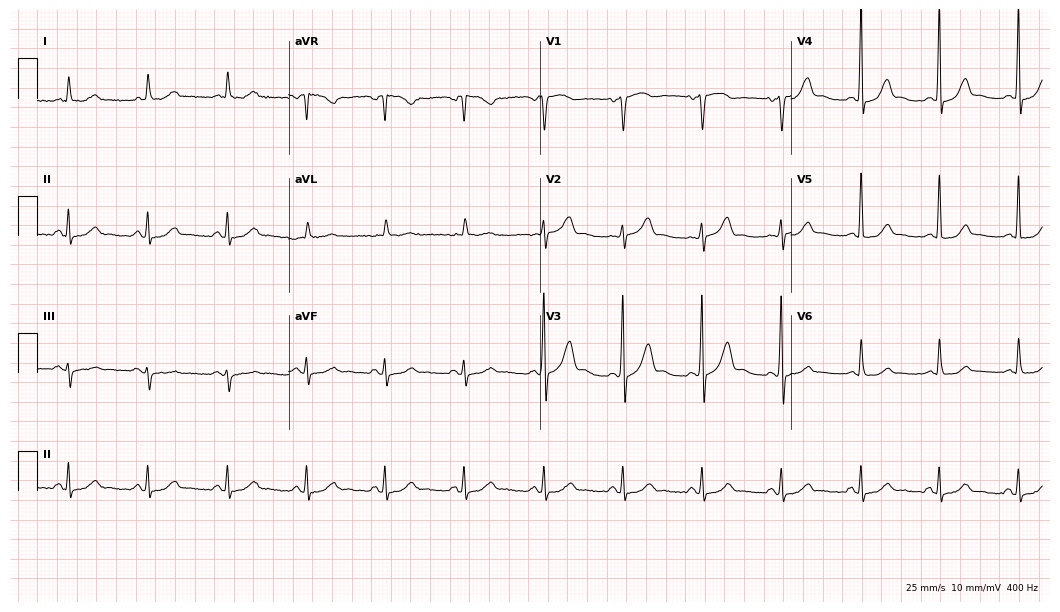
Standard 12-lead ECG recorded from a 63-year-old man. Read as a normal ECG.